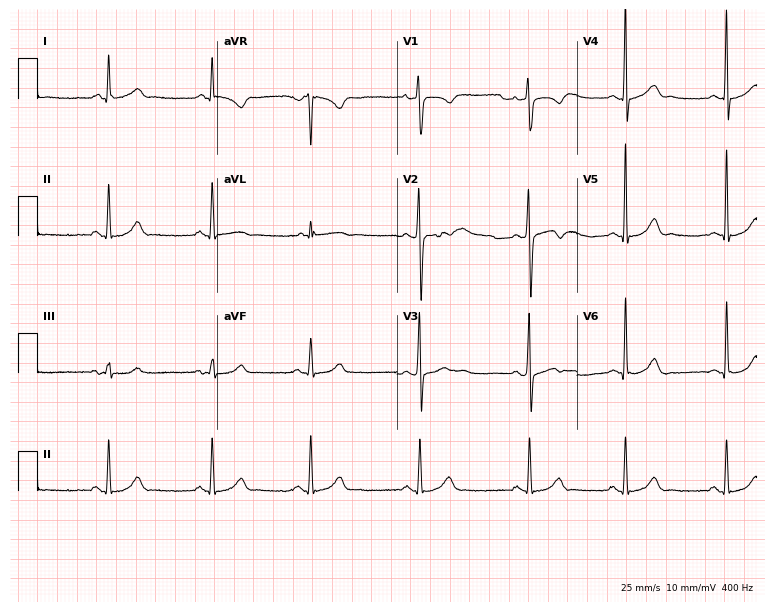
ECG (7.3-second recording at 400 Hz) — a 33-year-old man. Screened for six findings — first-degree AV block, right bundle branch block, left bundle branch block, sinus bradycardia, atrial fibrillation, sinus tachycardia — none is recorded.